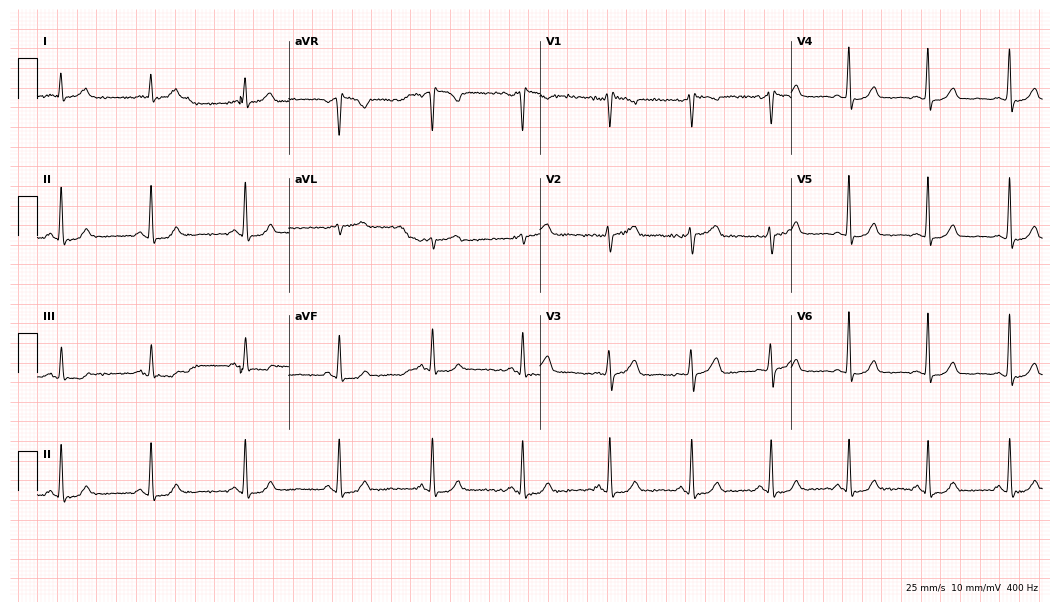
Standard 12-lead ECG recorded from a female patient, 63 years old. Read as a normal ECG.